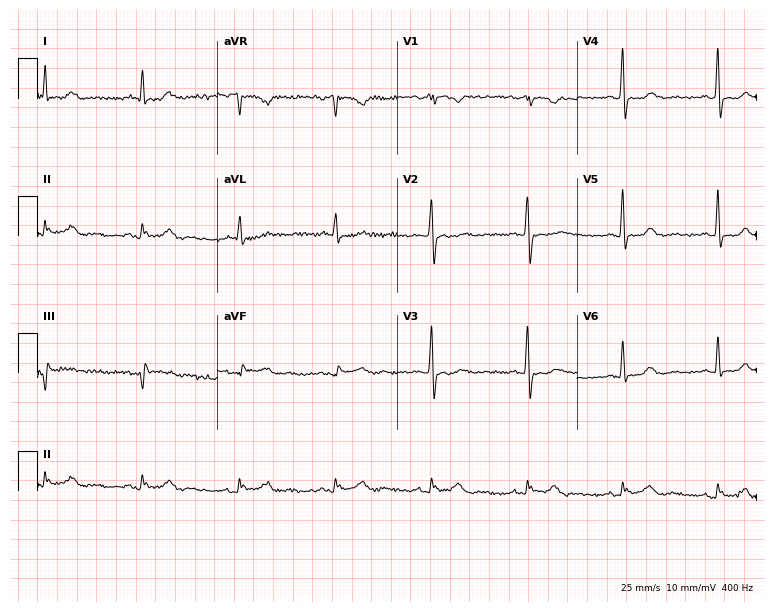
Electrocardiogram (7.3-second recording at 400 Hz), a 75-year-old woman. Of the six screened findings (first-degree AV block, right bundle branch block, left bundle branch block, sinus bradycardia, atrial fibrillation, sinus tachycardia), none is recorded. Findings outside these six are not listed.